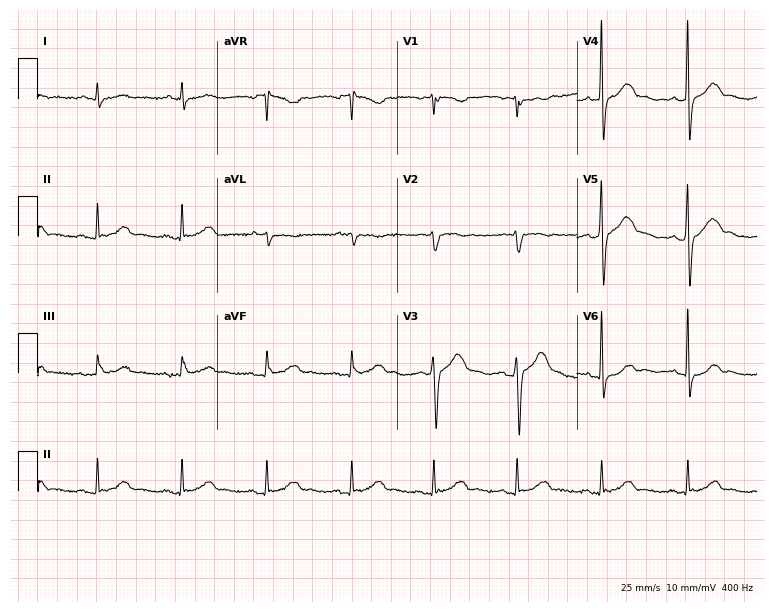
Resting 12-lead electrocardiogram. Patient: a man, 58 years old. Read as a normal ECG.